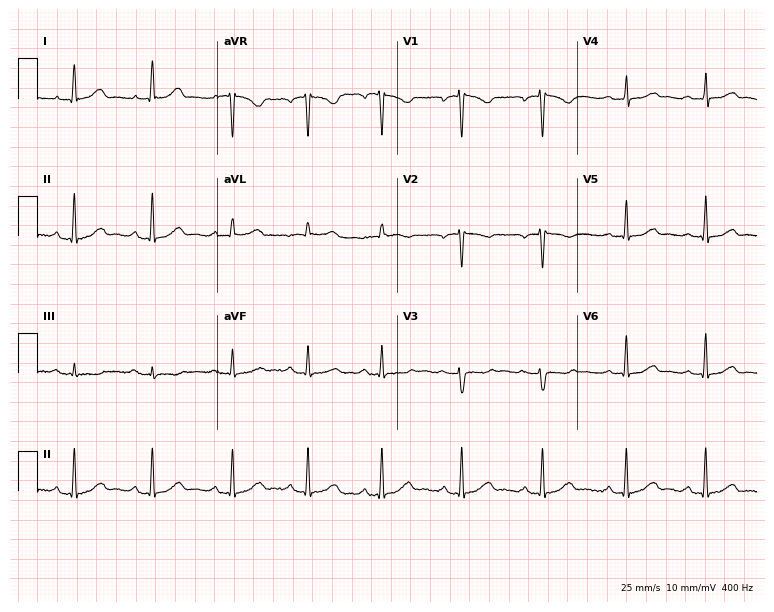
12-lead ECG from a 42-year-old woman. No first-degree AV block, right bundle branch block, left bundle branch block, sinus bradycardia, atrial fibrillation or sinus tachycardia recorded for this tracing. Other findings, if any, are not listed.